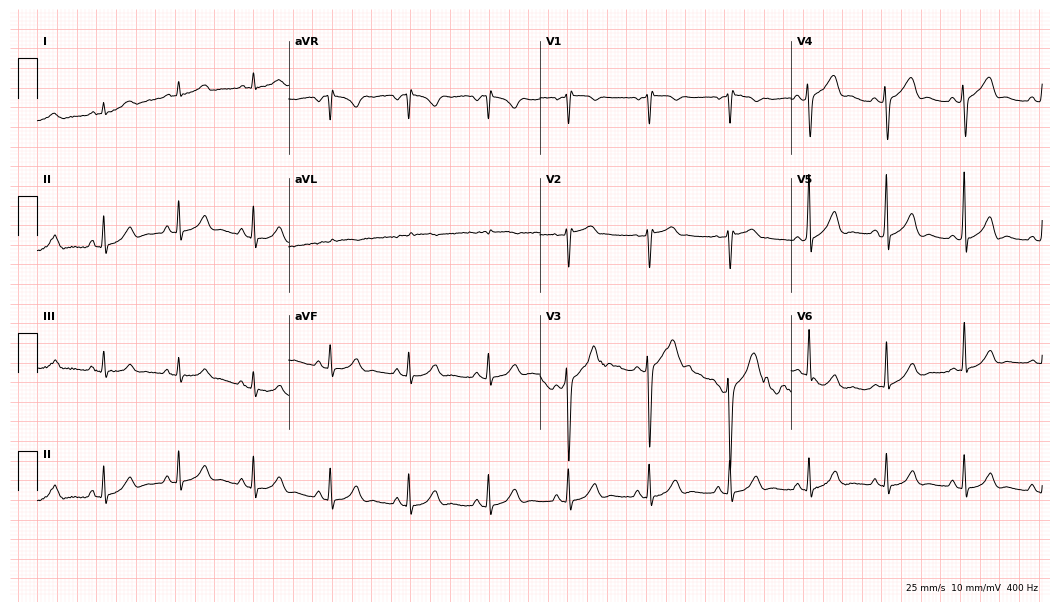
Resting 12-lead electrocardiogram. Patient: a male, 63 years old. Read as a normal ECG.